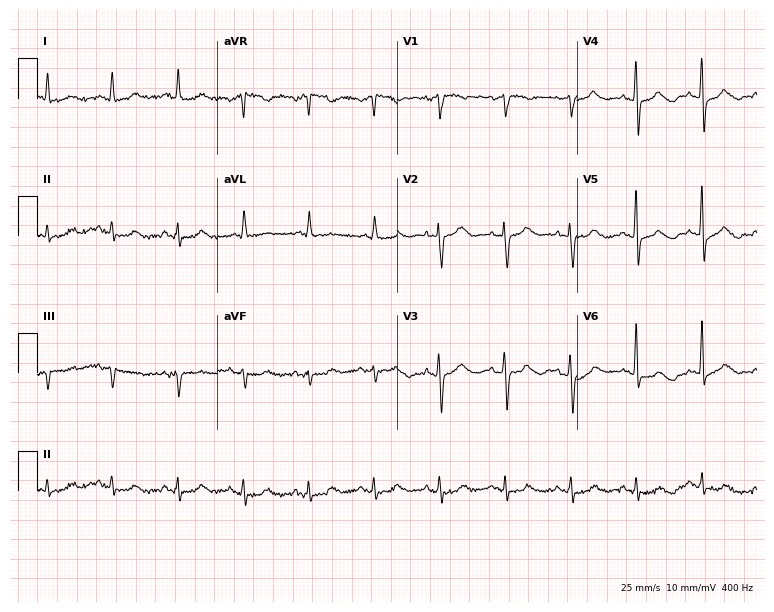
Standard 12-lead ECG recorded from a female, 80 years old. Read as a normal ECG.